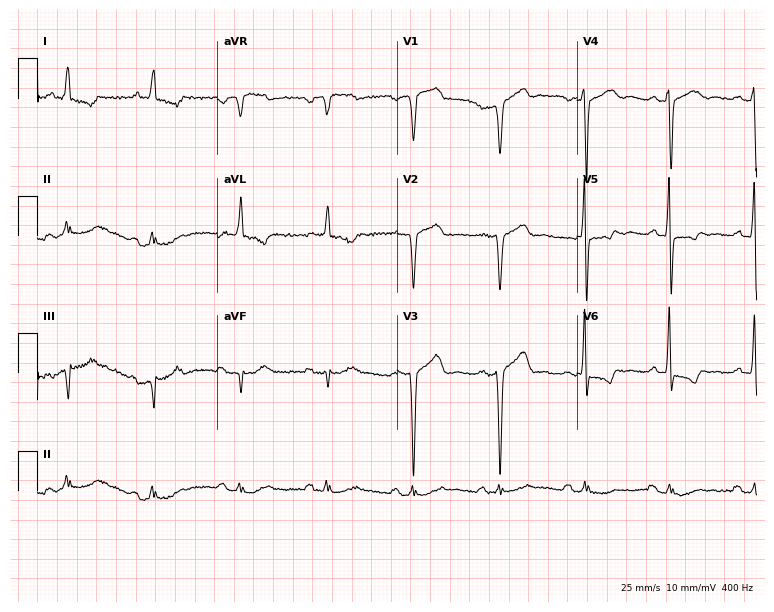
Standard 12-lead ECG recorded from a 78-year-old man. None of these six findings is recorded: first-degree AV block, right bundle branch block (RBBB), left bundle branch block (LBBB), sinus bradycardia, atrial fibrillation (AF), sinus tachycardia. Findings outside these six are not listed.